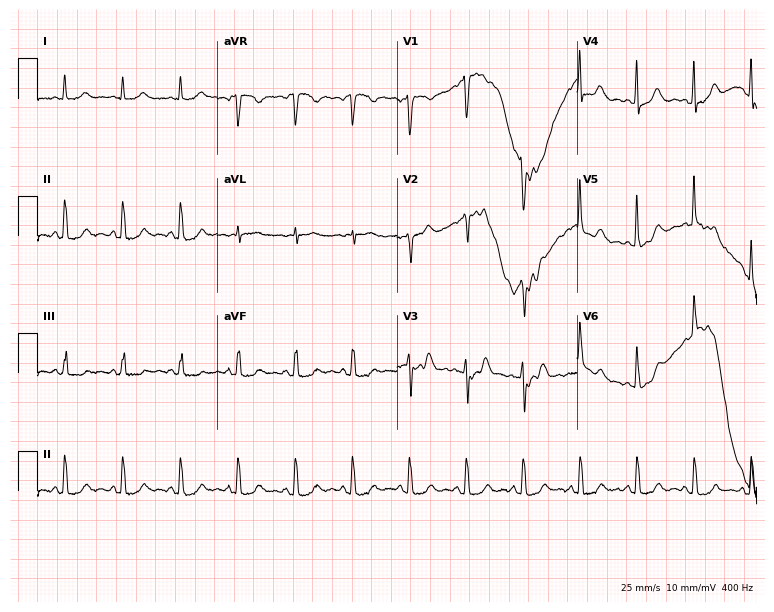
12-lead ECG from a 79-year-old female. Labelled as a normal ECG.